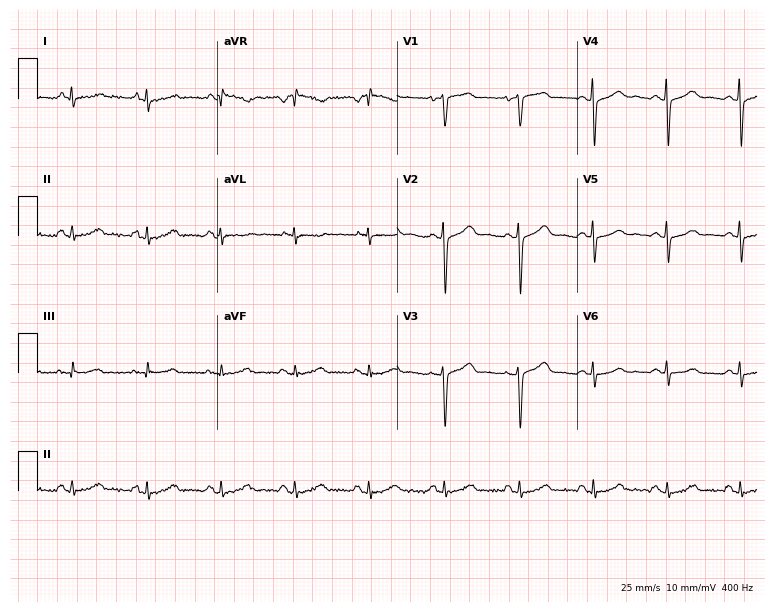
12-lead ECG (7.3-second recording at 400 Hz) from a woman, 44 years old. Screened for six findings — first-degree AV block, right bundle branch block, left bundle branch block, sinus bradycardia, atrial fibrillation, sinus tachycardia — none is recorded.